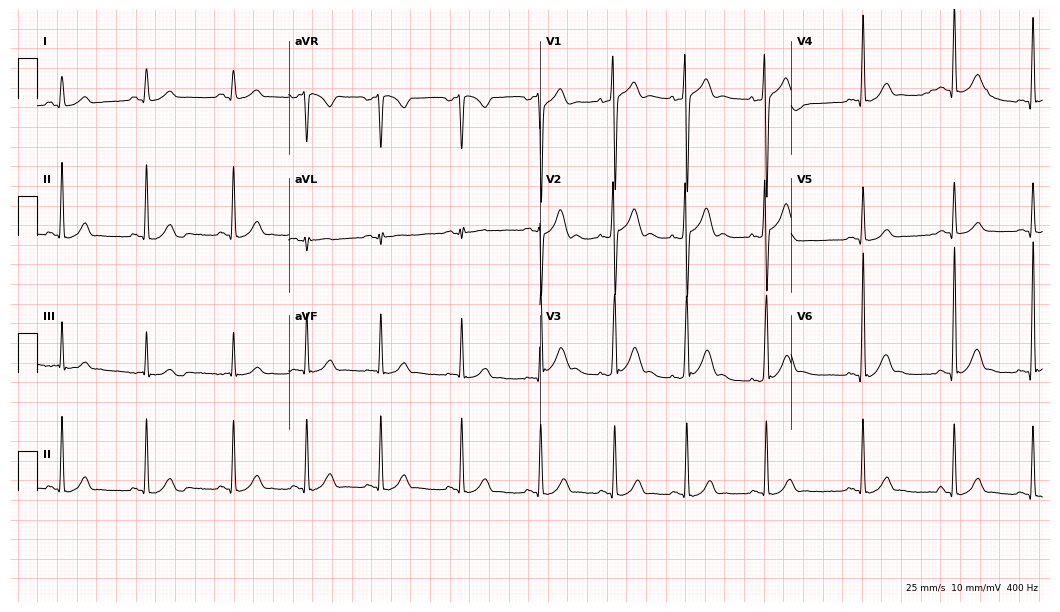
Standard 12-lead ECG recorded from a 17-year-old man. None of these six findings is recorded: first-degree AV block, right bundle branch block, left bundle branch block, sinus bradycardia, atrial fibrillation, sinus tachycardia. Only these six findings were labelled.